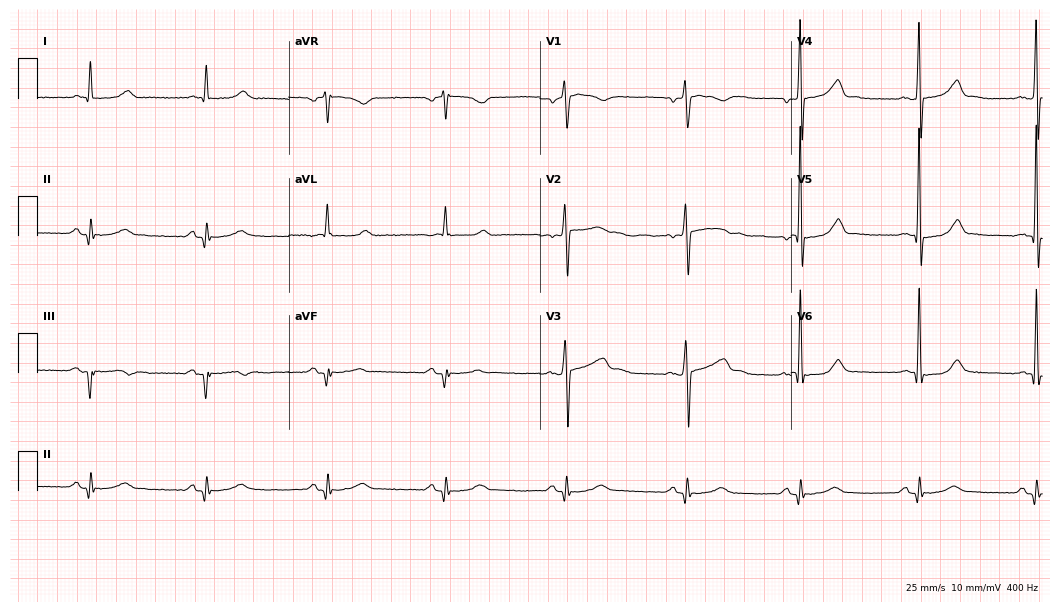
Resting 12-lead electrocardiogram. Patient: a male, 53 years old. None of these six findings is recorded: first-degree AV block, right bundle branch block, left bundle branch block, sinus bradycardia, atrial fibrillation, sinus tachycardia. Findings outside these six are not listed.